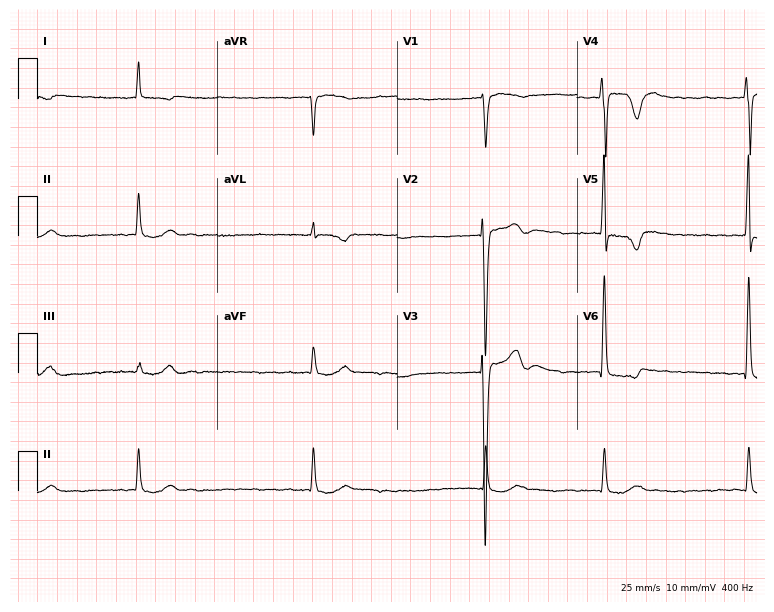
Electrocardiogram, a 70-year-old male. Interpretation includes atrial fibrillation.